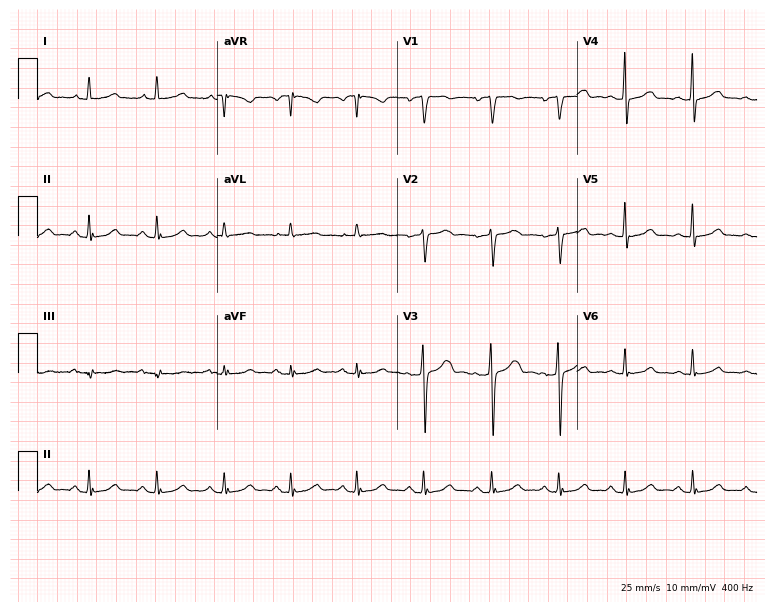
Standard 12-lead ECG recorded from a female, 56 years old. Read as a normal ECG.